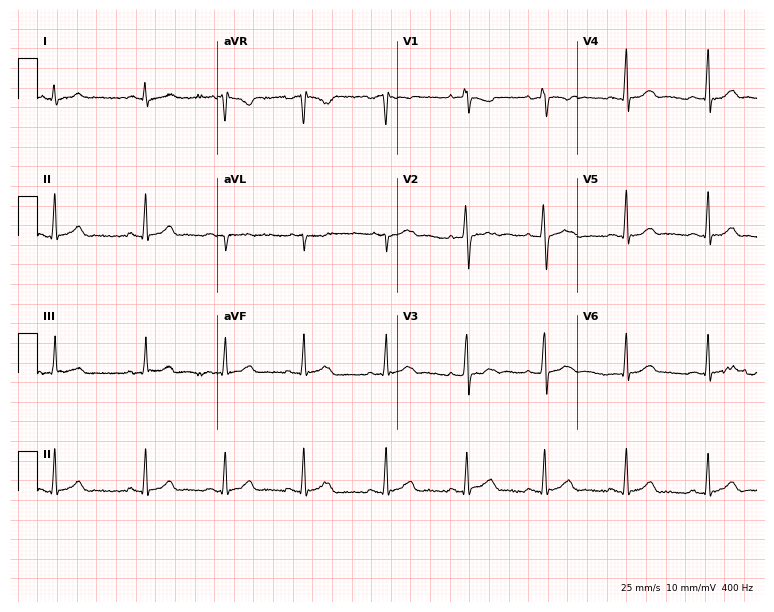
ECG — a woman, 21 years old. Labelled as a normal ECG.